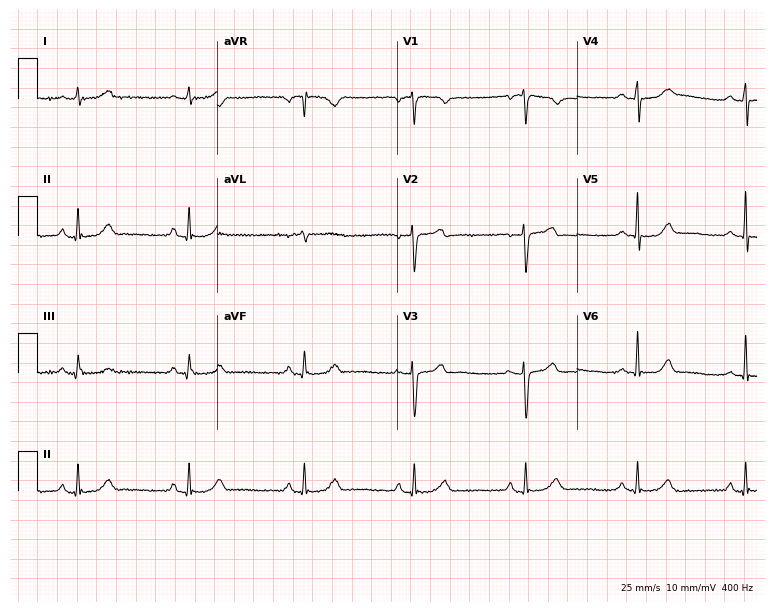
12-lead ECG from a female patient, 45 years old. No first-degree AV block, right bundle branch block, left bundle branch block, sinus bradycardia, atrial fibrillation or sinus tachycardia recorded for this tracing.